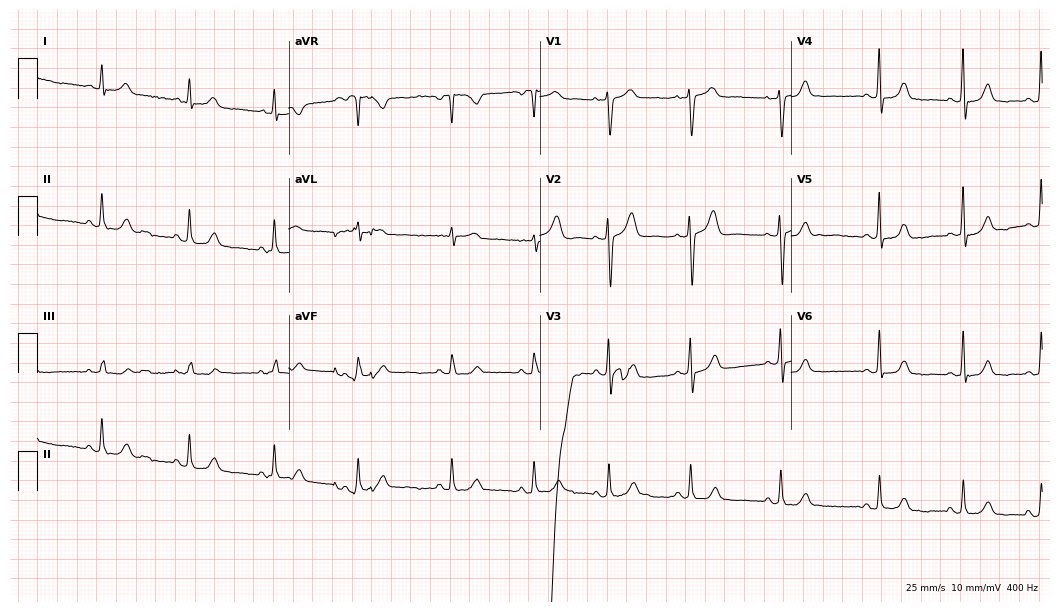
Electrocardiogram (10.2-second recording at 400 Hz), a 63-year-old woman. Of the six screened findings (first-degree AV block, right bundle branch block, left bundle branch block, sinus bradycardia, atrial fibrillation, sinus tachycardia), none is recorded. Other findings, if any, are not listed.